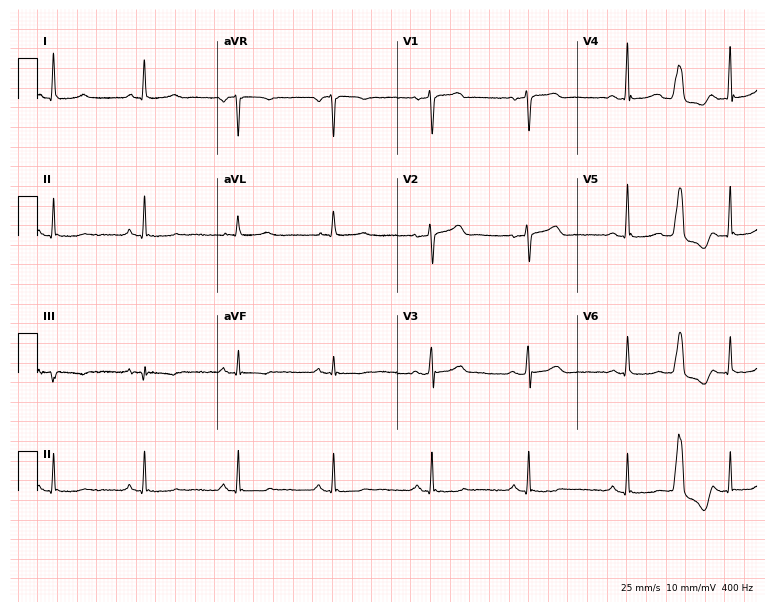
12-lead ECG from a 50-year-old man. No first-degree AV block, right bundle branch block, left bundle branch block, sinus bradycardia, atrial fibrillation or sinus tachycardia recorded for this tracing.